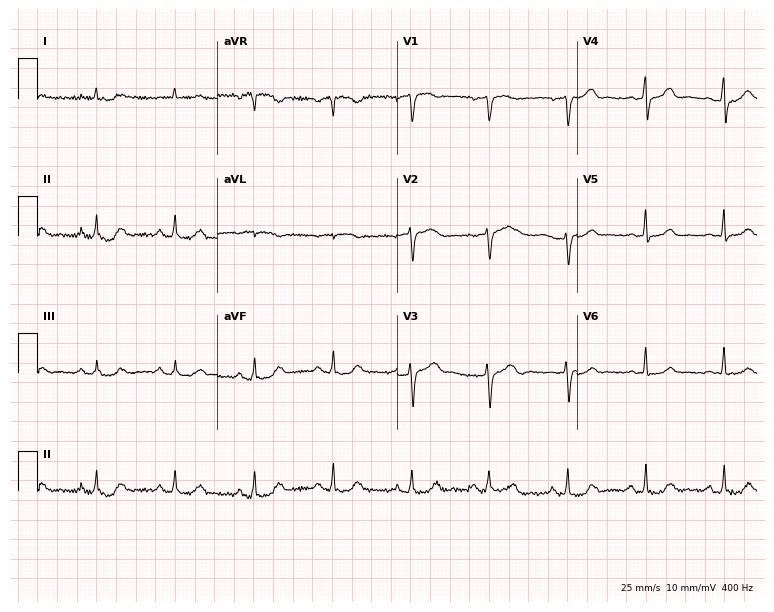
12-lead ECG (7.3-second recording at 400 Hz) from a 63-year-old man. Labelled as a normal ECG.